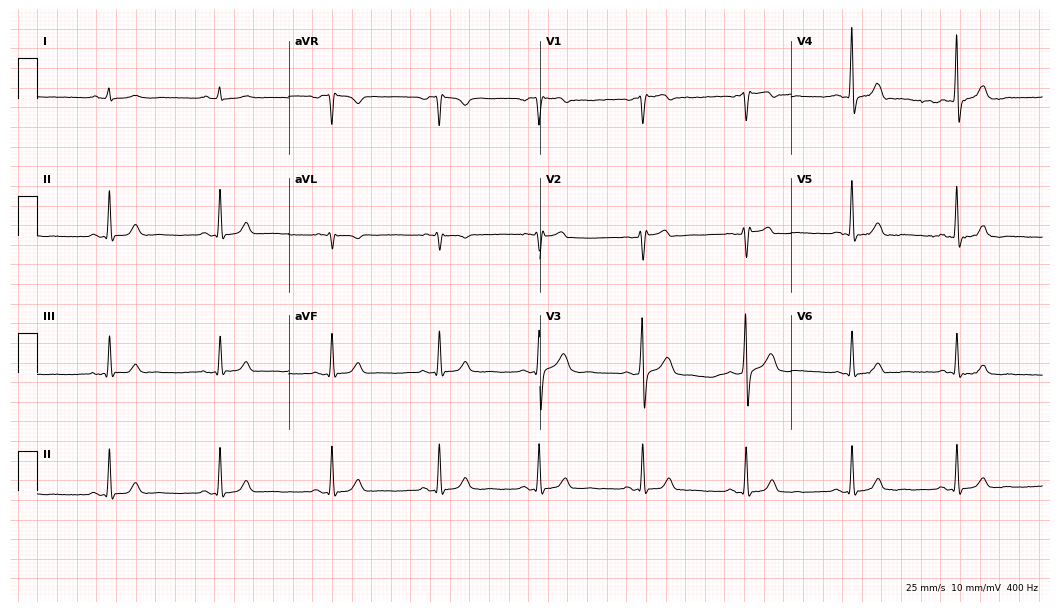
12-lead ECG from a 38-year-old male patient (10.2-second recording at 400 Hz). No first-degree AV block, right bundle branch block, left bundle branch block, sinus bradycardia, atrial fibrillation or sinus tachycardia recorded for this tracing.